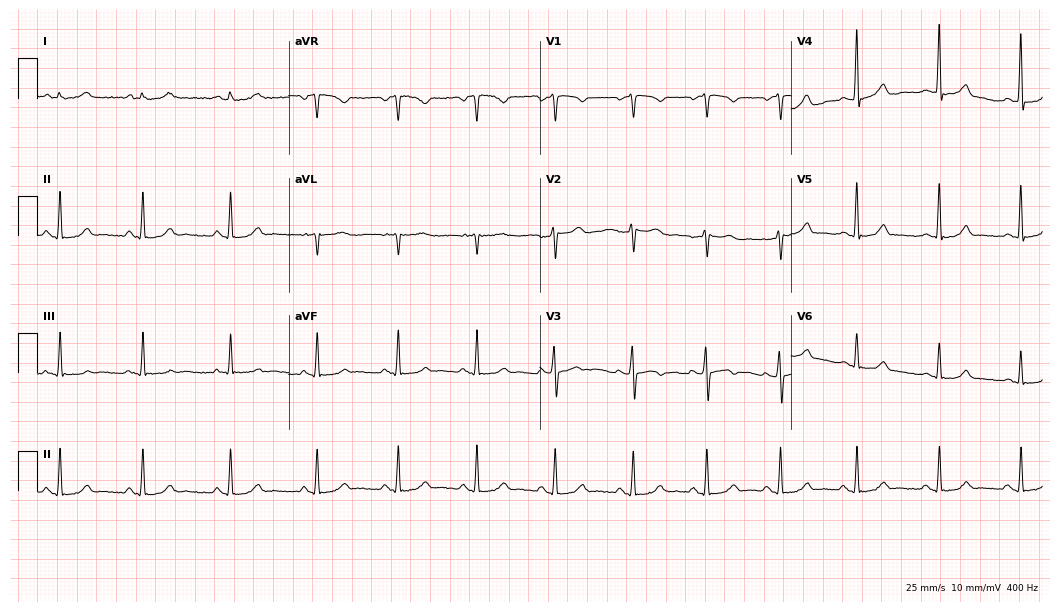
Standard 12-lead ECG recorded from a woman, 38 years old. Read as a normal ECG.